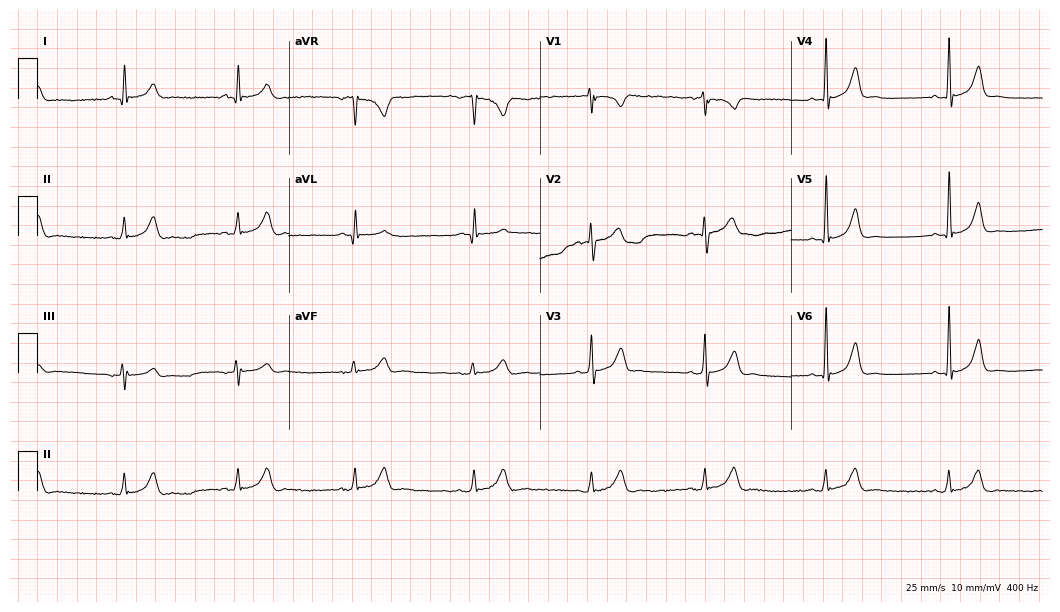
ECG (10.2-second recording at 400 Hz) — a male, 58 years old. Labelled as a normal ECG.